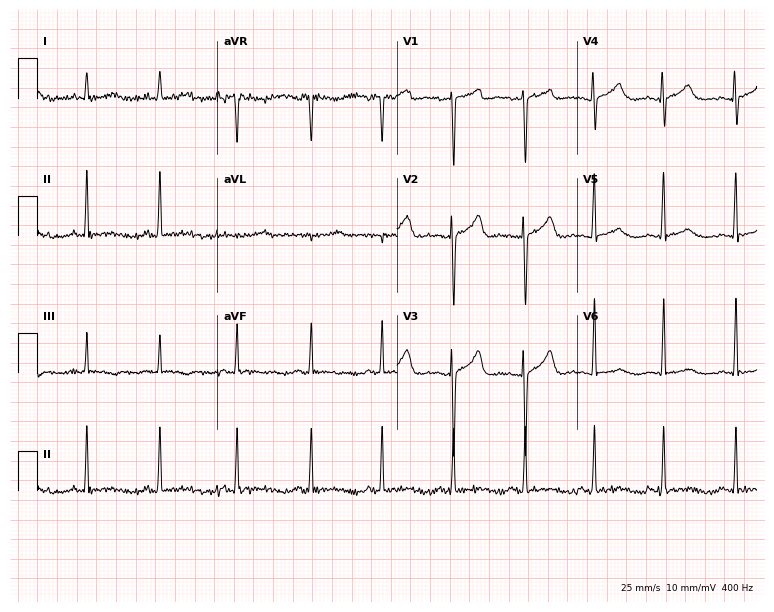
ECG (7.3-second recording at 400 Hz) — a 41-year-old woman. Labelled as a normal ECG.